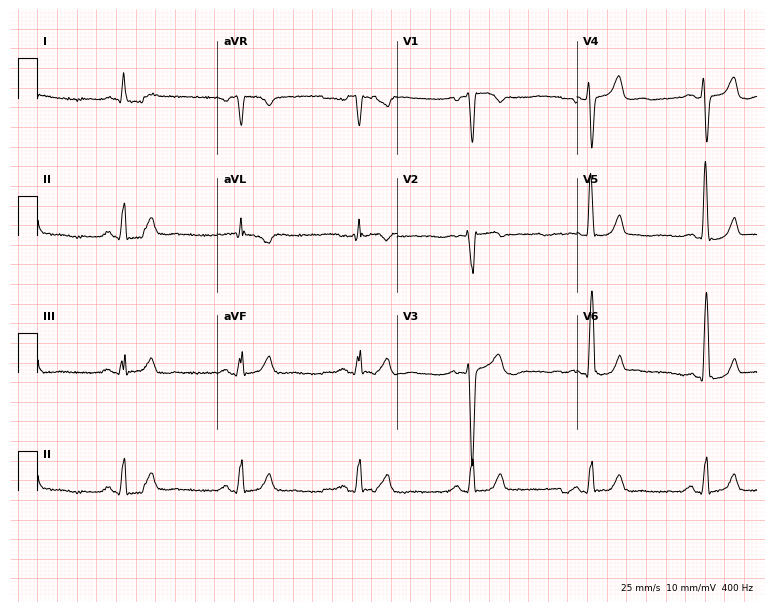
Electrocardiogram, a 66-year-old male. Of the six screened findings (first-degree AV block, right bundle branch block, left bundle branch block, sinus bradycardia, atrial fibrillation, sinus tachycardia), none is recorded. Other findings, if any, are not listed.